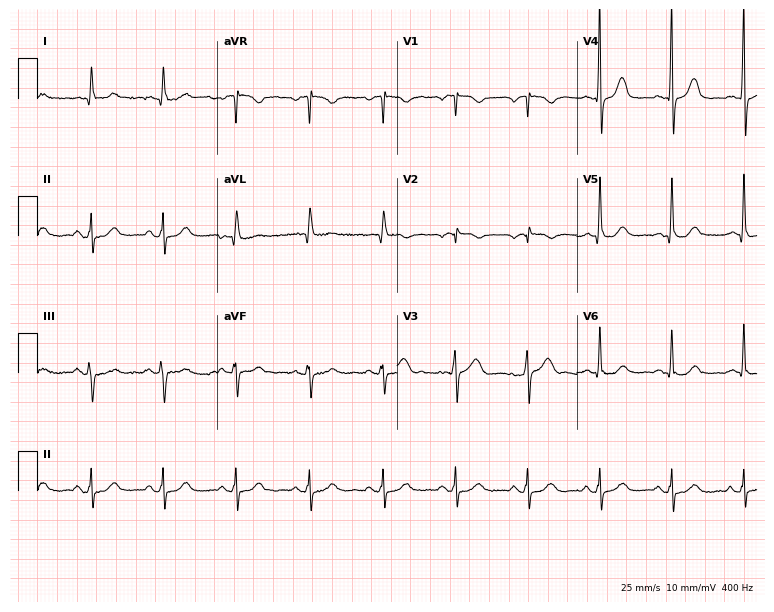
Electrocardiogram (7.3-second recording at 400 Hz), a 75-year-old woman. Of the six screened findings (first-degree AV block, right bundle branch block, left bundle branch block, sinus bradycardia, atrial fibrillation, sinus tachycardia), none is recorded. Findings outside these six are not listed.